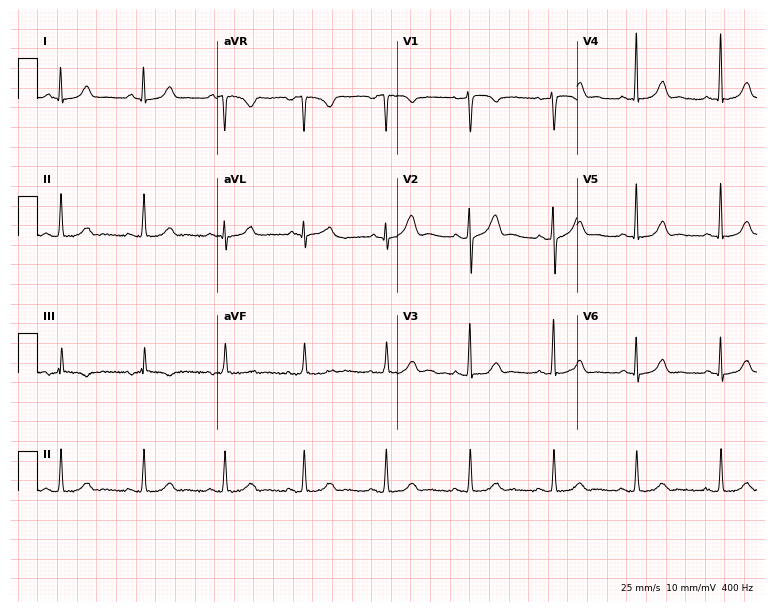
12-lead ECG from a 23-year-old female patient (7.3-second recording at 400 Hz). Recorded interpretation: within normal limits.